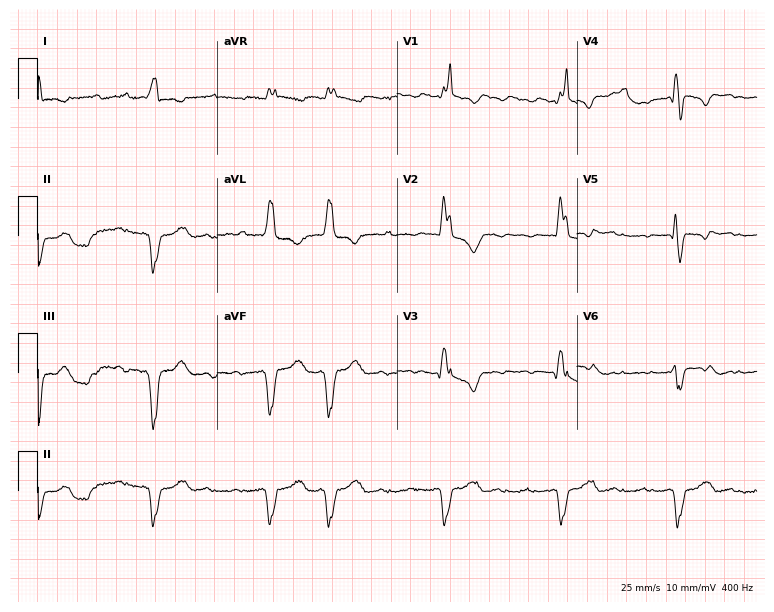
Resting 12-lead electrocardiogram (7.3-second recording at 400 Hz). Patient: a 61-year-old male. The tracing shows right bundle branch block (RBBB), atrial fibrillation (AF).